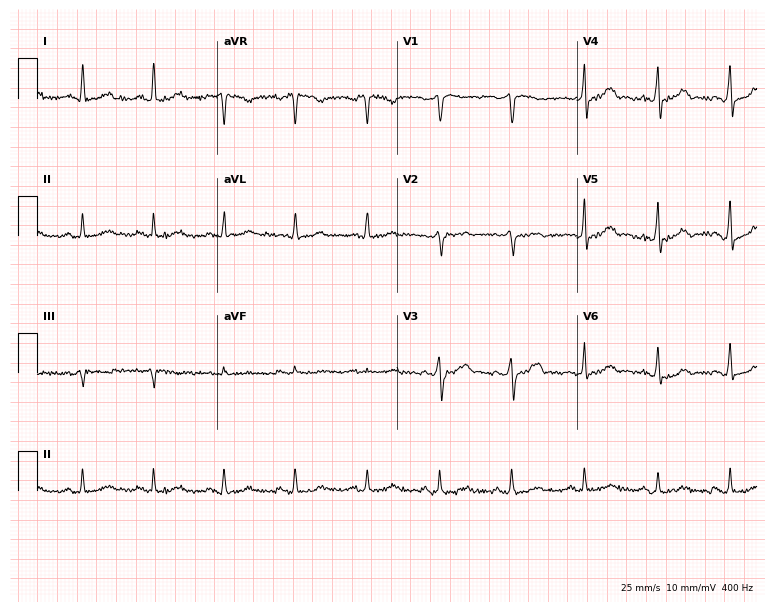
Resting 12-lead electrocardiogram. Patient: a 50-year-old female. Read as a normal ECG.